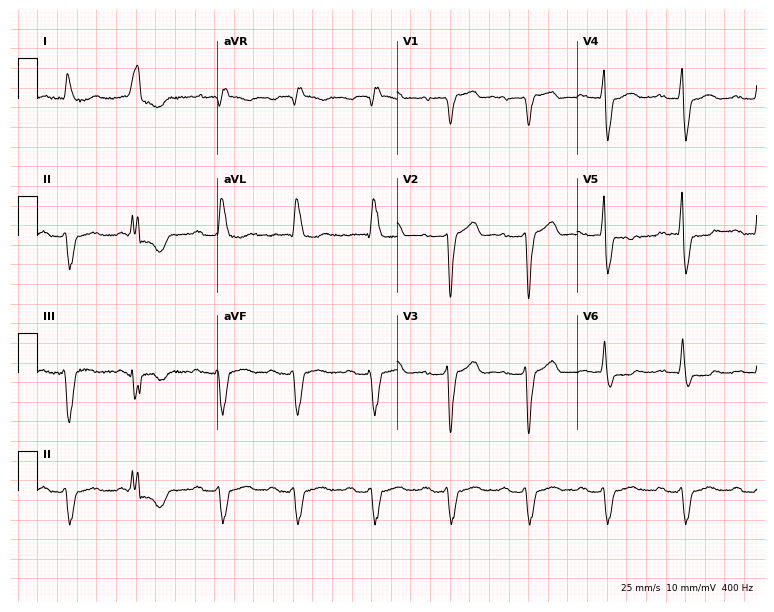
ECG — a man, 81 years old. Findings include first-degree AV block, left bundle branch block.